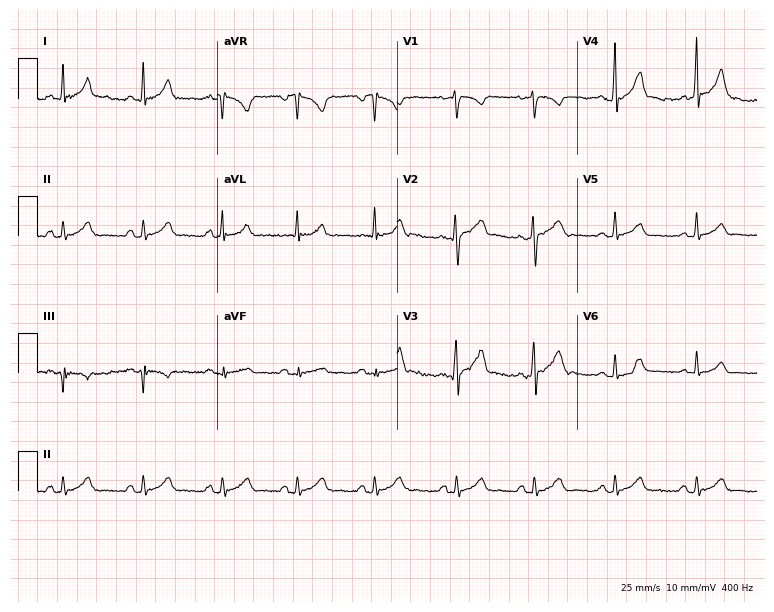
Standard 12-lead ECG recorded from a male patient, 24 years old (7.3-second recording at 400 Hz). Read as a normal ECG.